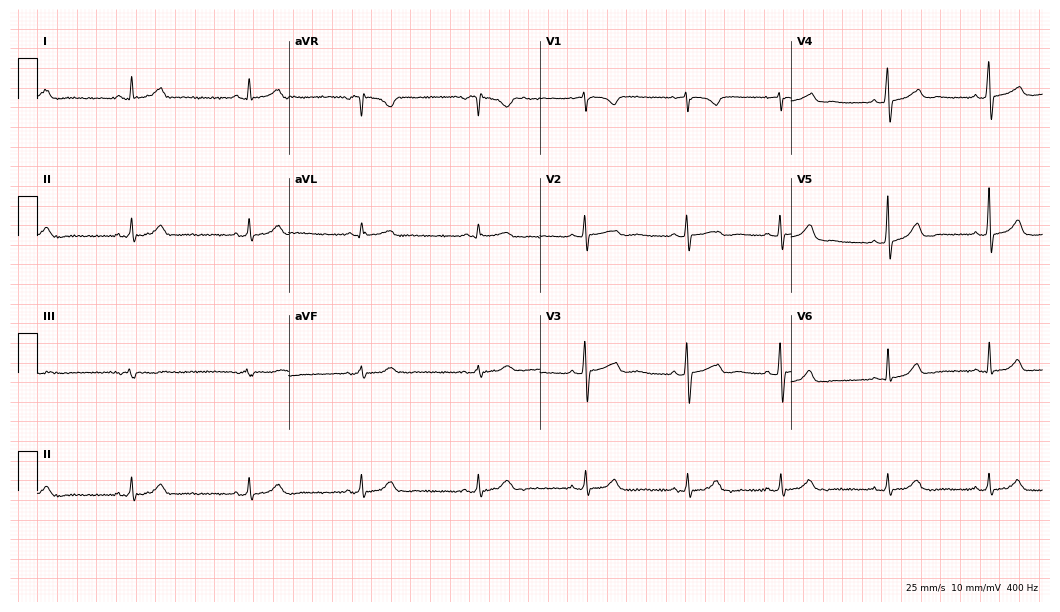
Resting 12-lead electrocardiogram. Patient: a woman, 36 years old. None of these six findings is recorded: first-degree AV block, right bundle branch block, left bundle branch block, sinus bradycardia, atrial fibrillation, sinus tachycardia.